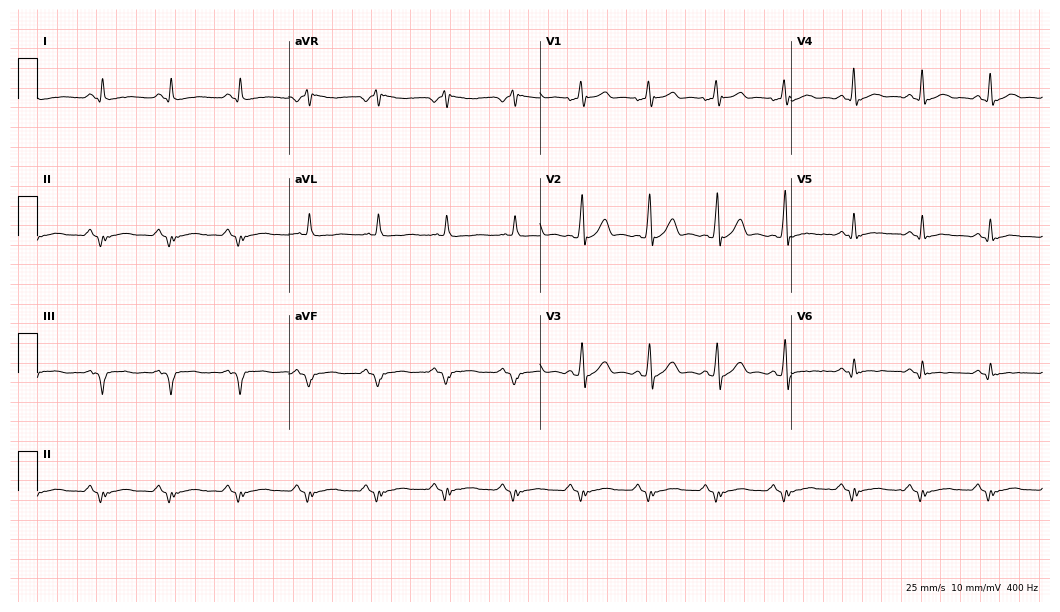
12-lead ECG (10.2-second recording at 400 Hz) from a male patient, 53 years old. Screened for six findings — first-degree AV block, right bundle branch block, left bundle branch block, sinus bradycardia, atrial fibrillation, sinus tachycardia — none is recorded. Findings outside these six are not listed.